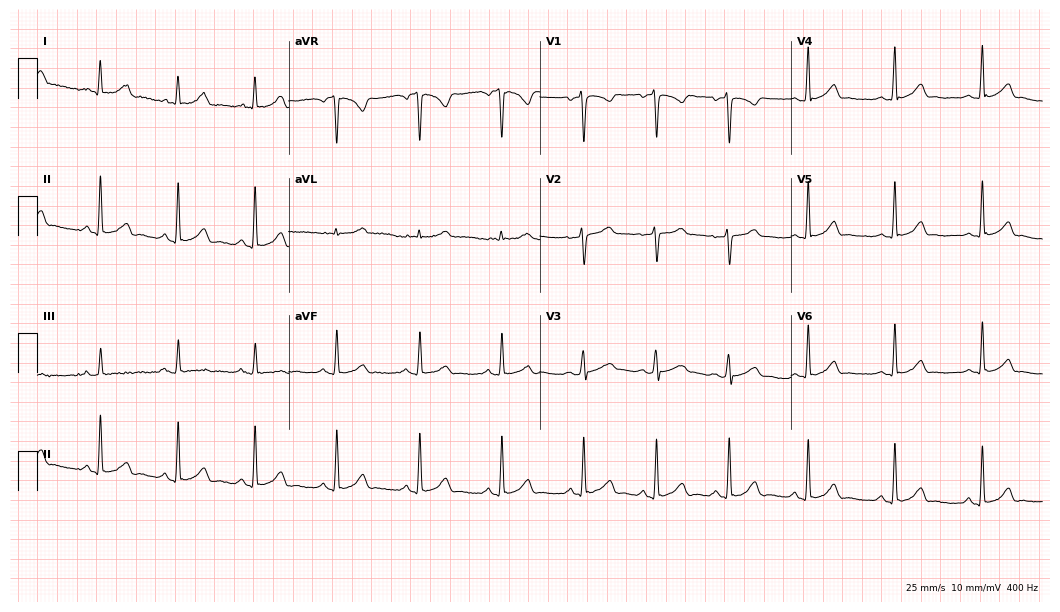
Electrocardiogram, a female, 32 years old. Overall reading on record: normal ECG.